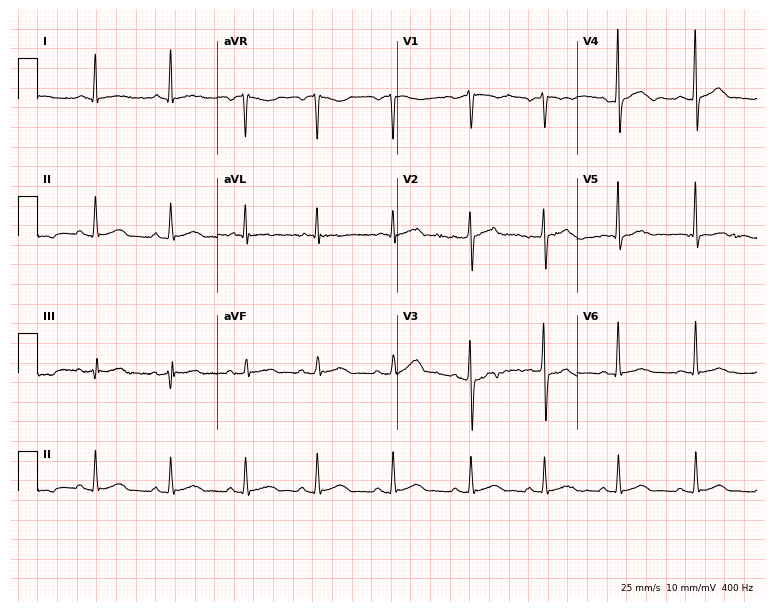
12-lead ECG (7.3-second recording at 400 Hz) from a male patient, 60 years old. Screened for six findings — first-degree AV block, right bundle branch block, left bundle branch block, sinus bradycardia, atrial fibrillation, sinus tachycardia — none is recorded. Other findings, if any, are not listed.